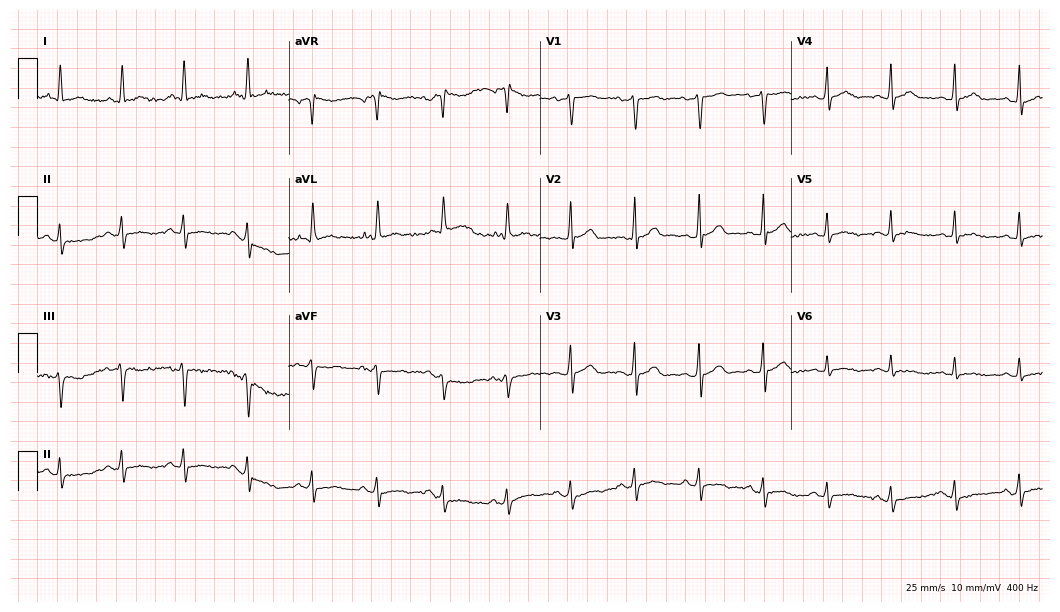
12-lead ECG (10.2-second recording at 400 Hz) from a 53-year-old male. Screened for six findings — first-degree AV block, right bundle branch block, left bundle branch block, sinus bradycardia, atrial fibrillation, sinus tachycardia — none is recorded.